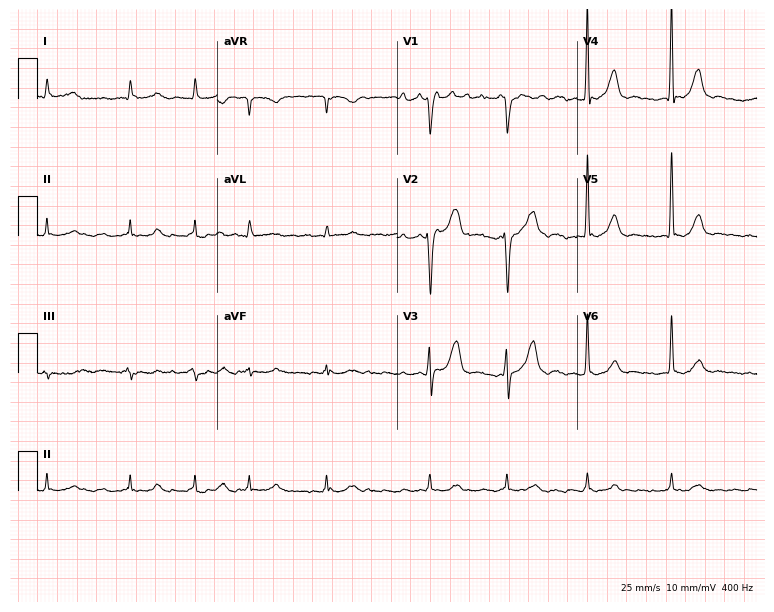
Standard 12-lead ECG recorded from a male patient, 71 years old (7.3-second recording at 400 Hz). The tracing shows atrial fibrillation (AF).